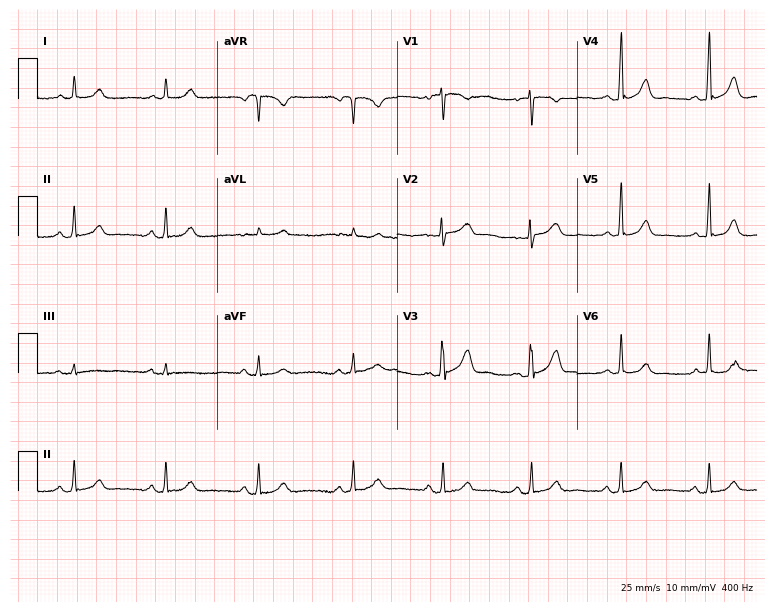
12-lead ECG from a 38-year-old woman (7.3-second recording at 400 Hz). Recorded interpretation: within normal limits.